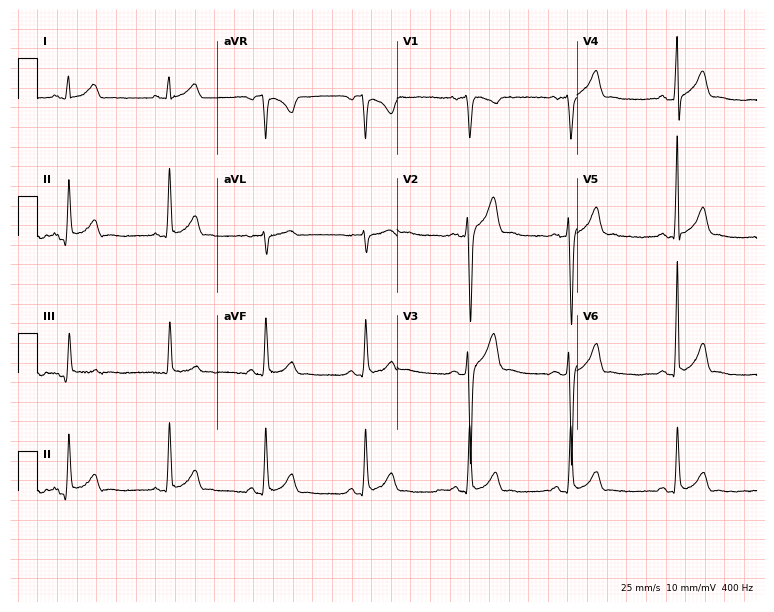
12-lead ECG from a male patient, 30 years old. Recorded interpretation: within normal limits.